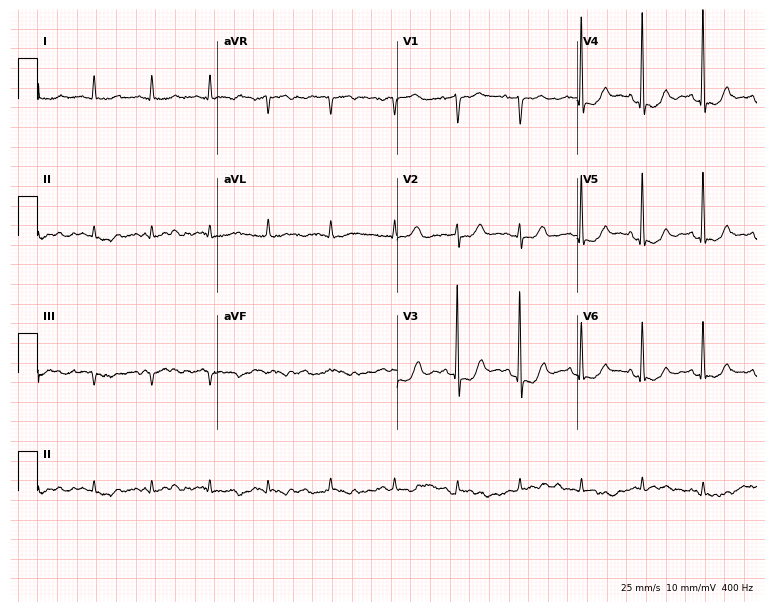
12-lead ECG from a 71-year-old female. Screened for six findings — first-degree AV block, right bundle branch block, left bundle branch block, sinus bradycardia, atrial fibrillation, sinus tachycardia — none is recorded. Only these six findings were labelled.